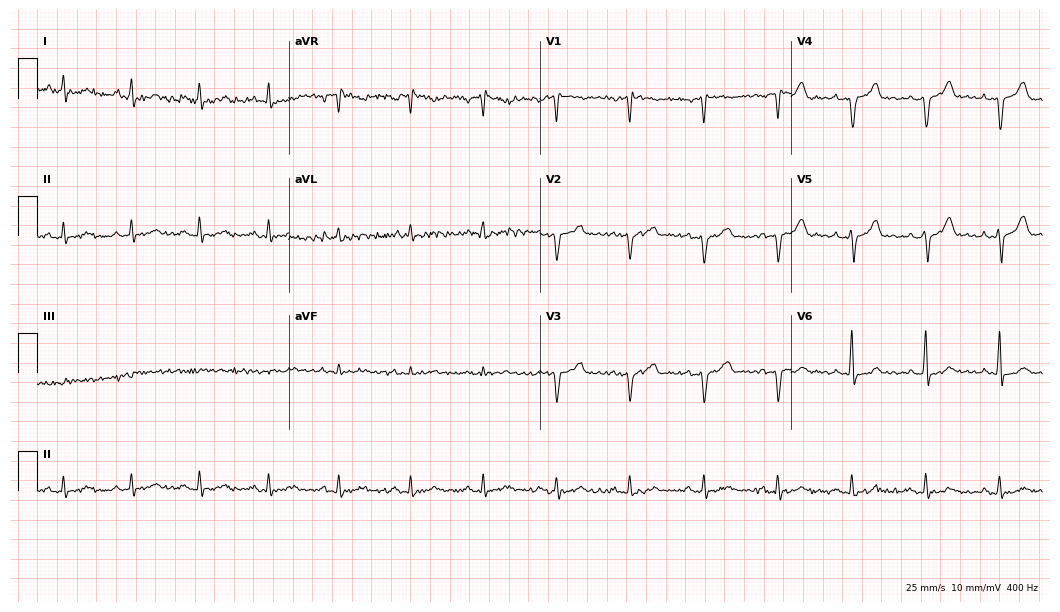
ECG — a 52-year-old male. Screened for six findings — first-degree AV block, right bundle branch block, left bundle branch block, sinus bradycardia, atrial fibrillation, sinus tachycardia — none is recorded. Only these six findings were labelled.